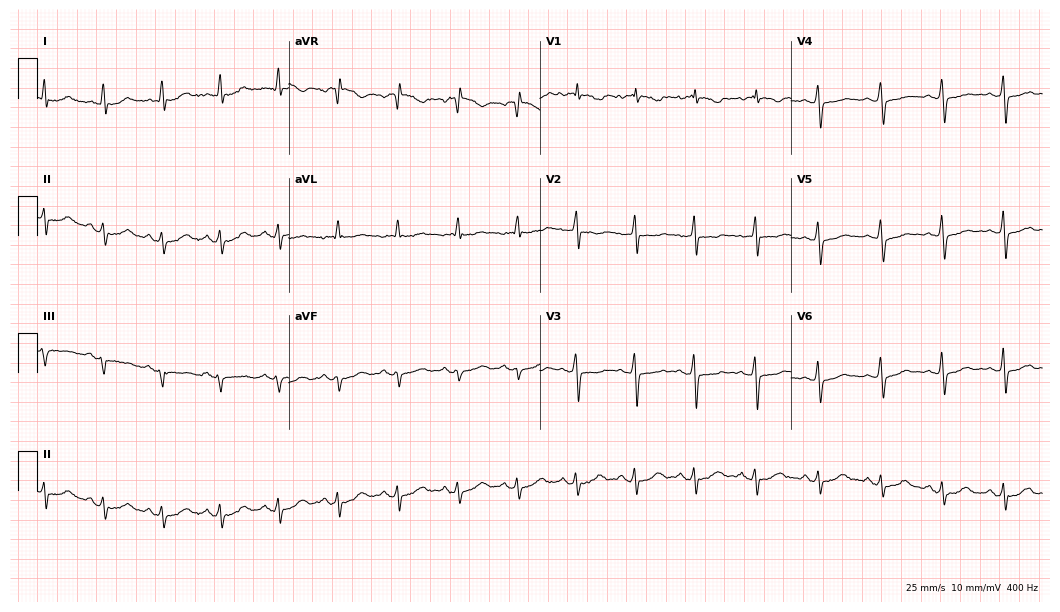
Resting 12-lead electrocardiogram (10.2-second recording at 400 Hz). Patient: a woman, 65 years old. None of these six findings is recorded: first-degree AV block, right bundle branch block, left bundle branch block, sinus bradycardia, atrial fibrillation, sinus tachycardia.